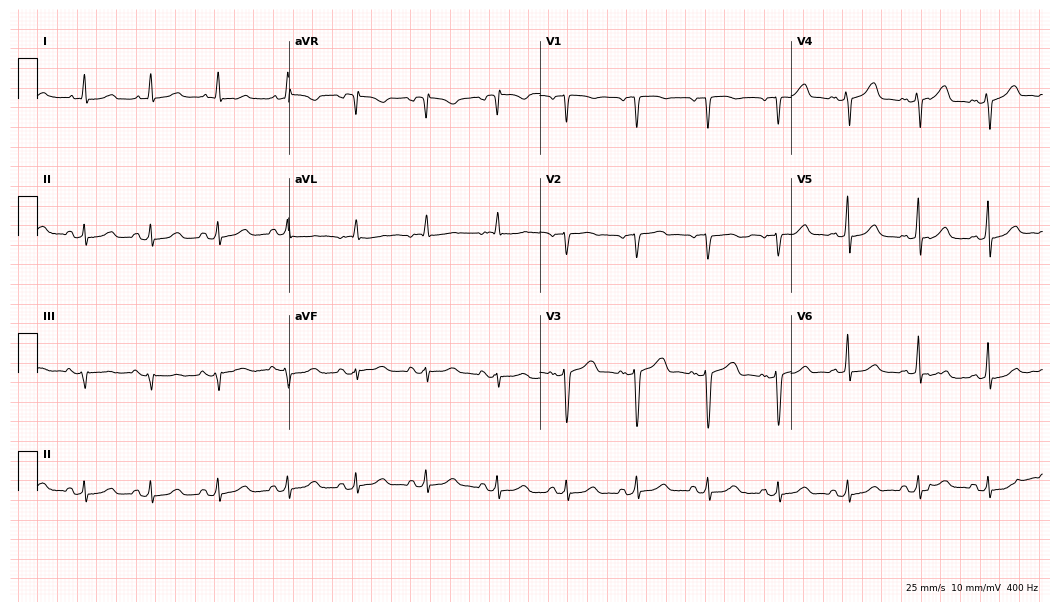
ECG (10.2-second recording at 400 Hz) — a female patient, 43 years old. Screened for six findings — first-degree AV block, right bundle branch block, left bundle branch block, sinus bradycardia, atrial fibrillation, sinus tachycardia — none is recorded.